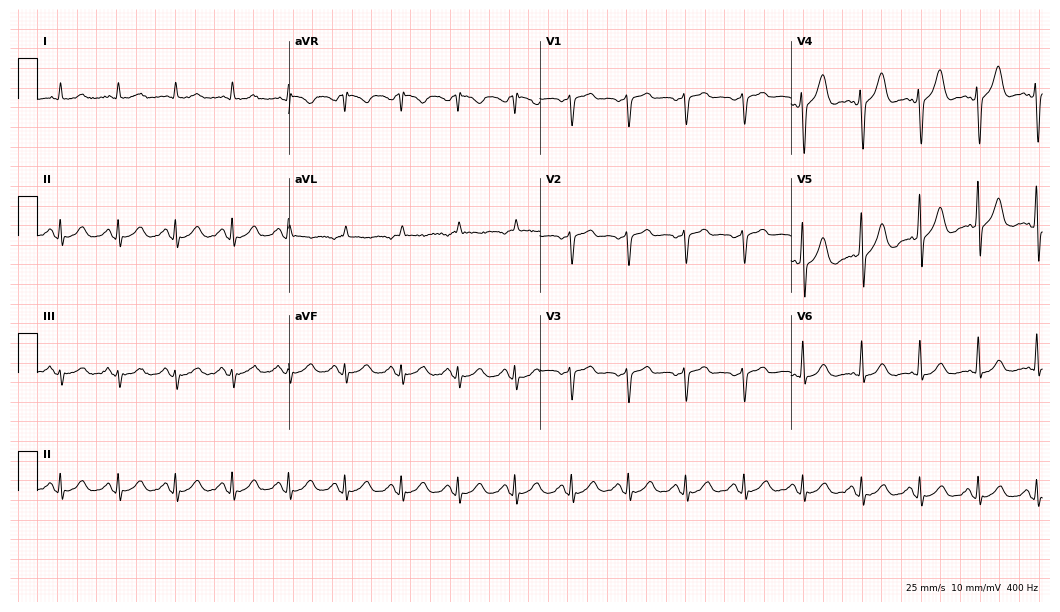
12-lead ECG from a male, 45 years old (10.2-second recording at 400 Hz). No first-degree AV block, right bundle branch block (RBBB), left bundle branch block (LBBB), sinus bradycardia, atrial fibrillation (AF) or sinus tachycardia recorded for this tracing. Only these six findings were labelled.